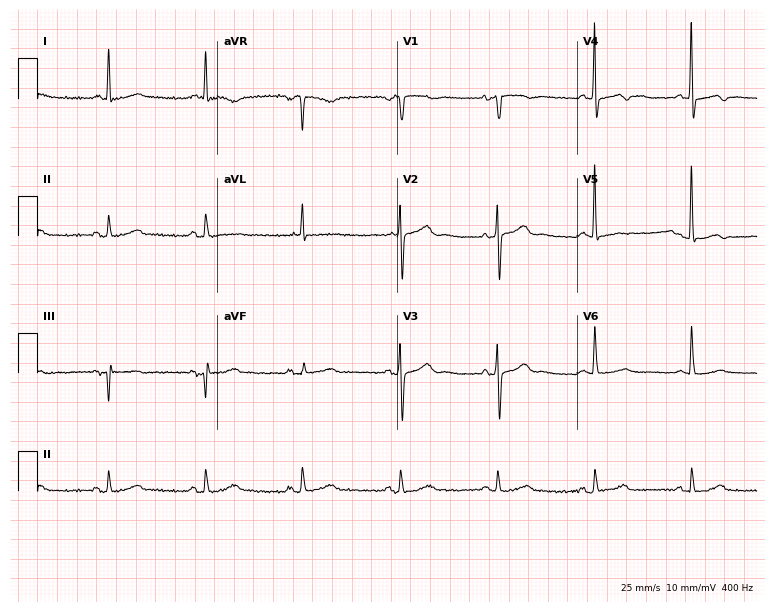
Standard 12-lead ECG recorded from a female, 72 years old. None of these six findings is recorded: first-degree AV block, right bundle branch block, left bundle branch block, sinus bradycardia, atrial fibrillation, sinus tachycardia. Other findings, if any, are not listed.